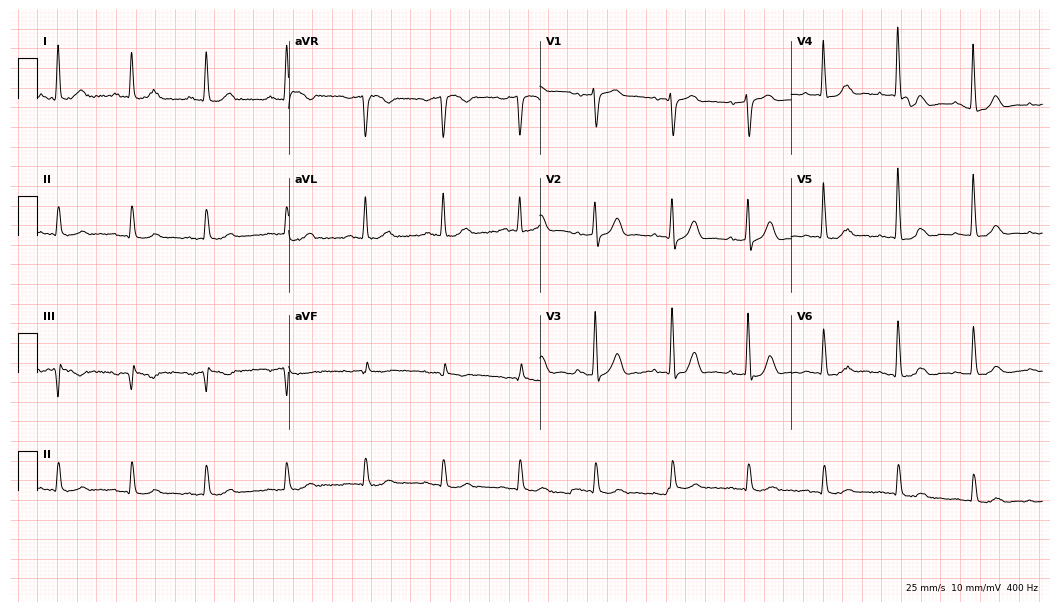
ECG (10.2-second recording at 400 Hz) — an 84-year-old male patient. Labelled as a normal ECG.